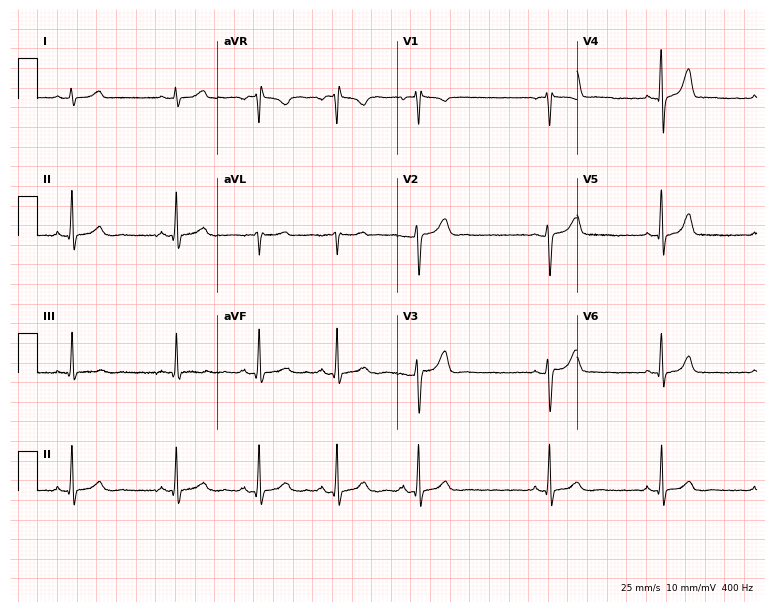
12-lead ECG from a female, 30 years old. Screened for six findings — first-degree AV block, right bundle branch block, left bundle branch block, sinus bradycardia, atrial fibrillation, sinus tachycardia — none is recorded. Other findings, if any, are not listed.